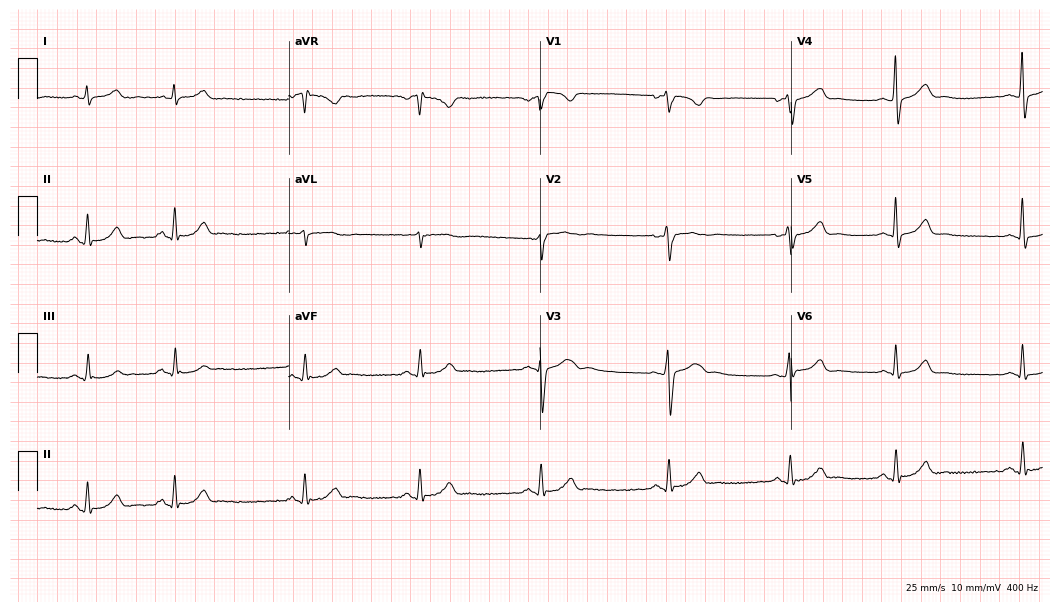
Electrocardiogram, a 24-year-old man. Overall reading on record: normal ECG.